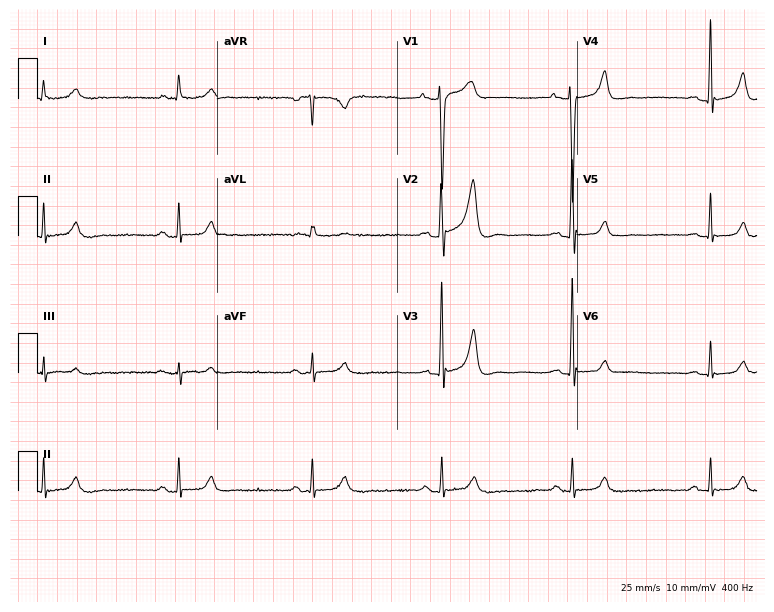
Resting 12-lead electrocardiogram (7.3-second recording at 400 Hz). Patient: a 60-year-old male. The tracing shows sinus bradycardia (a sinus rate of 50 beats per minute or less).